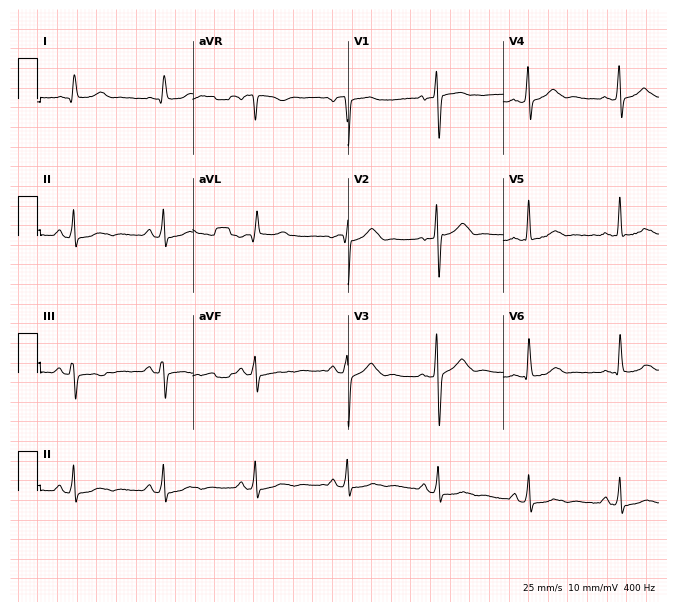
Standard 12-lead ECG recorded from a female patient, 61 years old (6.3-second recording at 400 Hz). None of these six findings is recorded: first-degree AV block, right bundle branch block, left bundle branch block, sinus bradycardia, atrial fibrillation, sinus tachycardia.